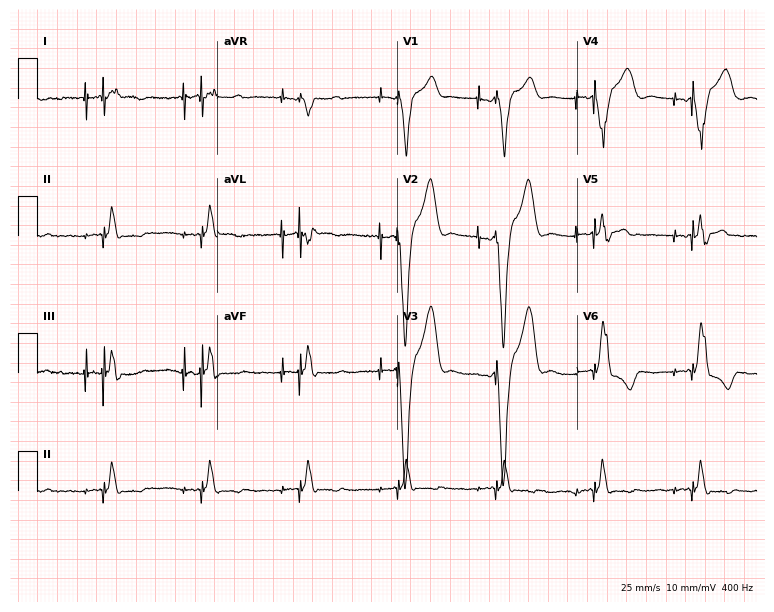
Electrocardiogram (7.3-second recording at 400 Hz), a 61-year-old male. Of the six screened findings (first-degree AV block, right bundle branch block (RBBB), left bundle branch block (LBBB), sinus bradycardia, atrial fibrillation (AF), sinus tachycardia), none is recorded.